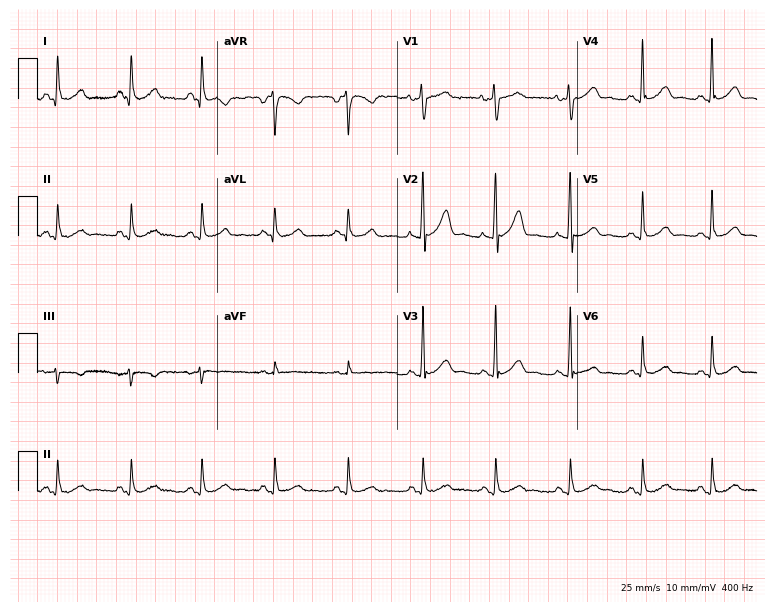
Resting 12-lead electrocardiogram (7.3-second recording at 400 Hz). Patient: a female, 42 years old. Read as a normal ECG.